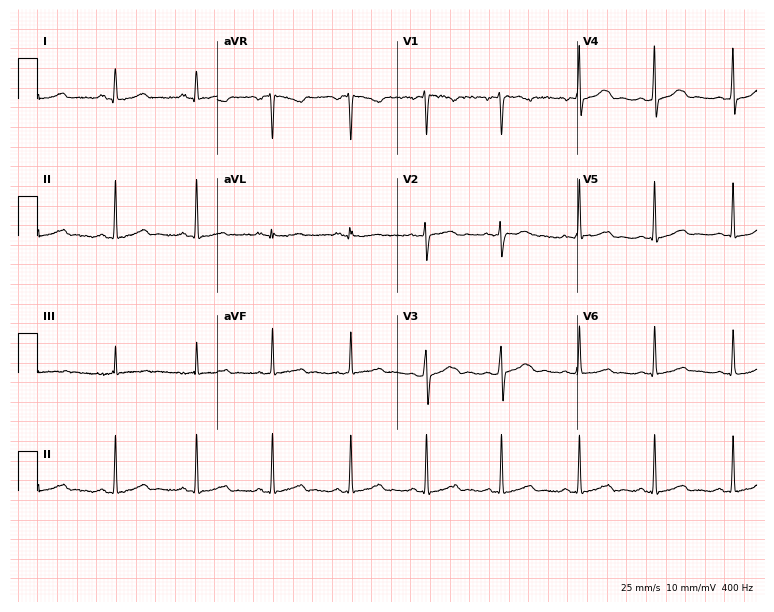
Resting 12-lead electrocardiogram (7.3-second recording at 400 Hz). Patient: a female, 39 years old. Read as a normal ECG.